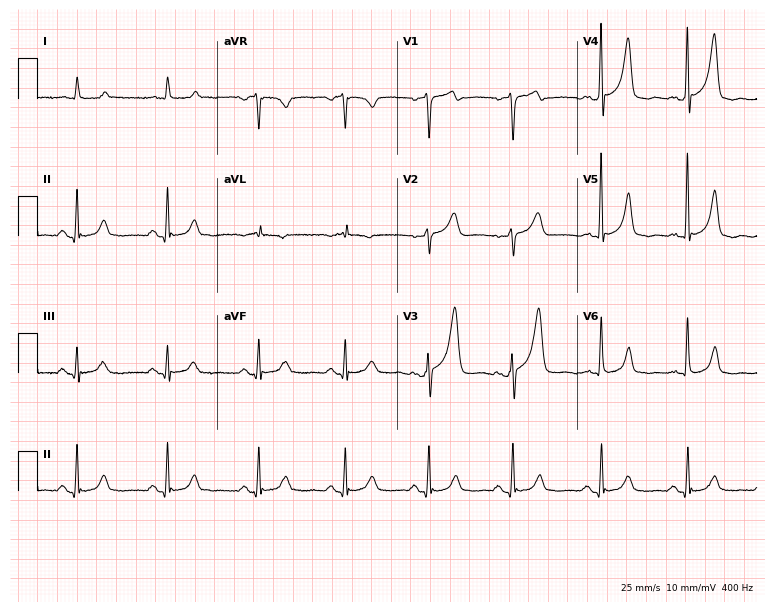
12-lead ECG from a male, 76 years old (7.3-second recording at 400 Hz). No first-degree AV block, right bundle branch block (RBBB), left bundle branch block (LBBB), sinus bradycardia, atrial fibrillation (AF) or sinus tachycardia recorded for this tracing. Findings outside these six are not listed.